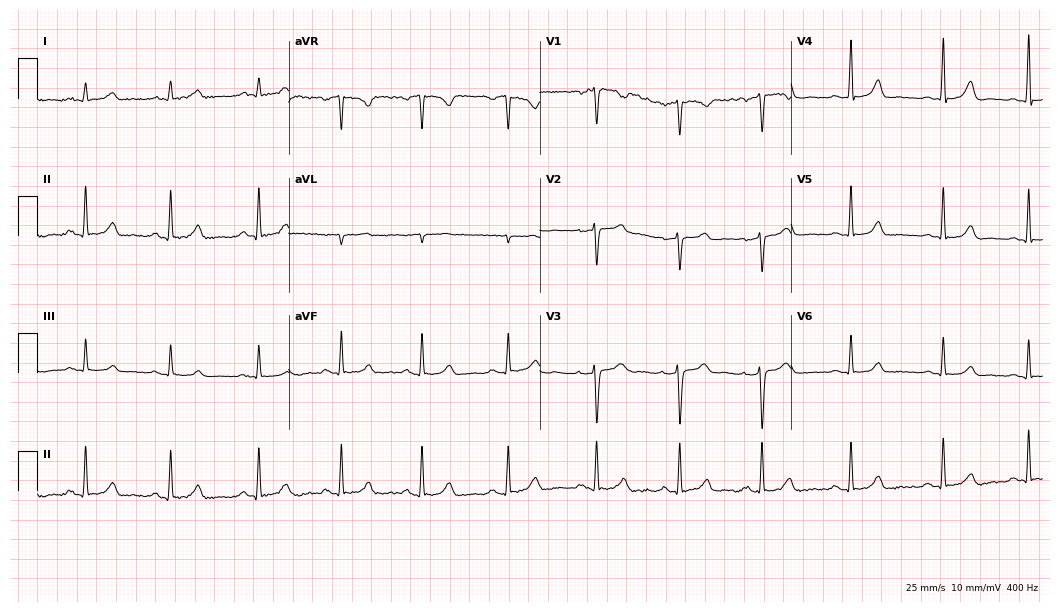
Electrocardiogram, a female, 31 years old. Overall reading on record: normal ECG.